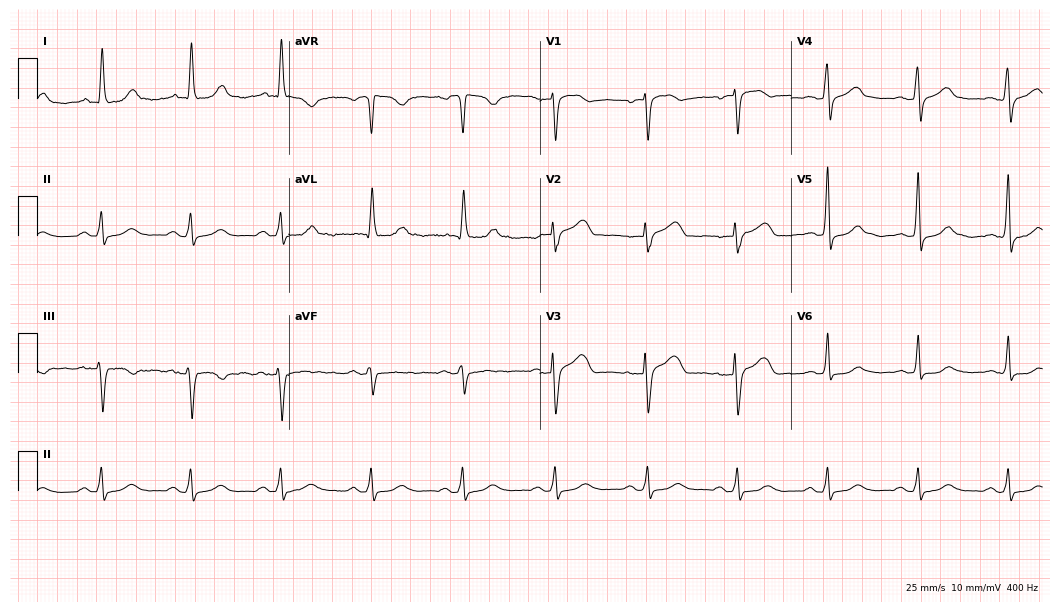
12-lead ECG from a 73-year-old female. Screened for six findings — first-degree AV block, right bundle branch block, left bundle branch block, sinus bradycardia, atrial fibrillation, sinus tachycardia — none is recorded. Only these six findings were labelled.